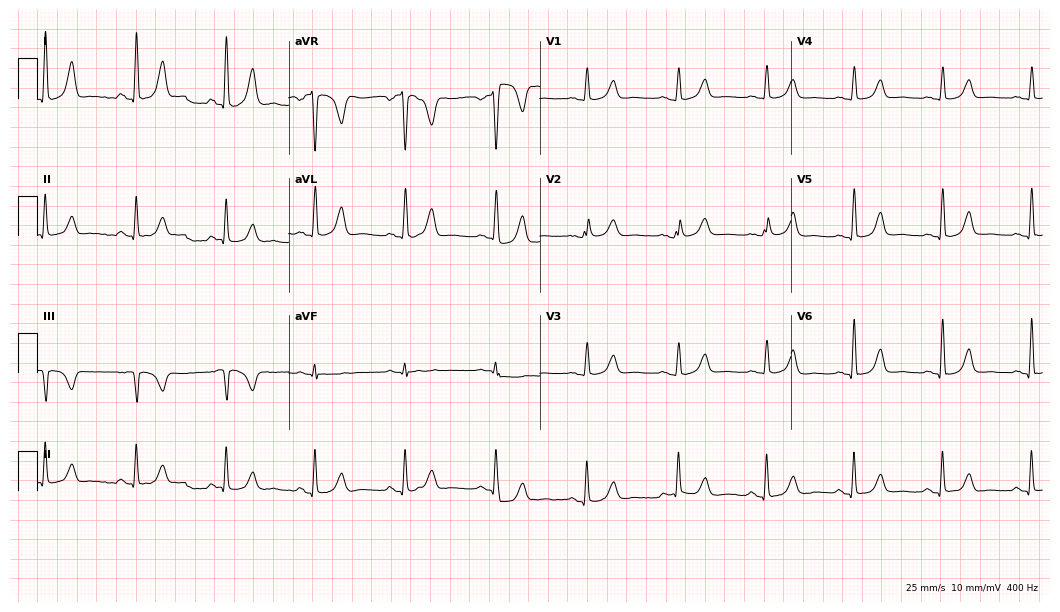
ECG (10.2-second recording at 400 Hz) — a 68-year-old woman. Labelled as a normal ECG.